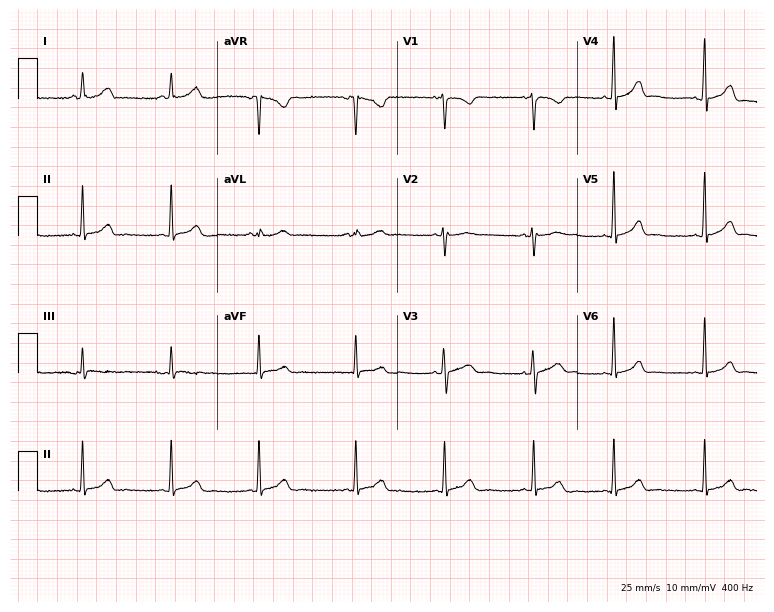
Standard 12-lead ECG recorded from a 22-year-old female (7.3-second recording at 400 Hz). Read as a normal ECG.